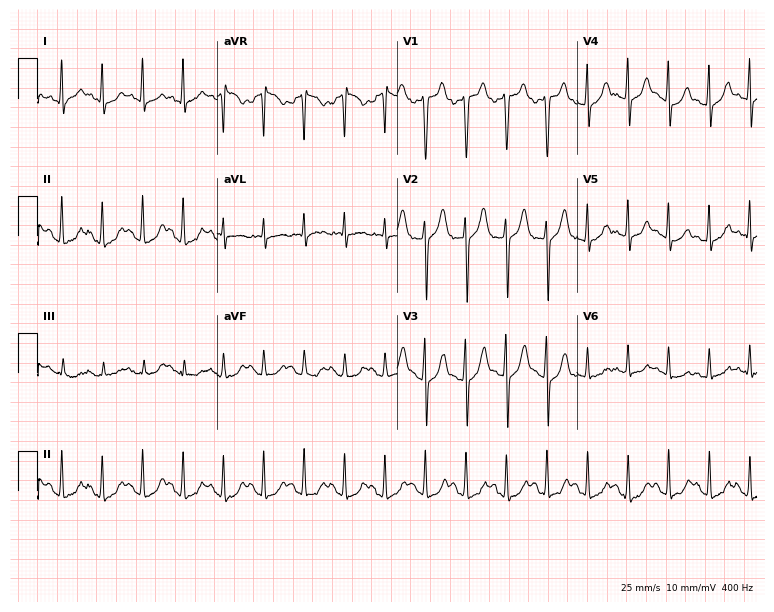
12-lead ECG from a male, 38 years old. Shows sinus tachycardia (a sinus rate of 100 beats per minute or more).